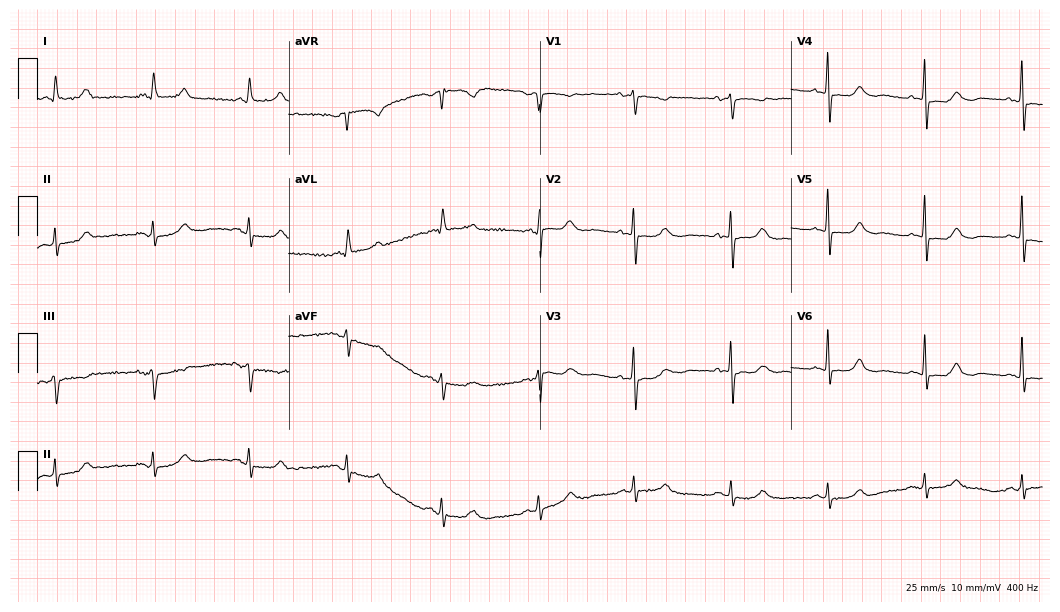
12-lead ECG from a female, 84 years old. Labelled as a normal ECG.